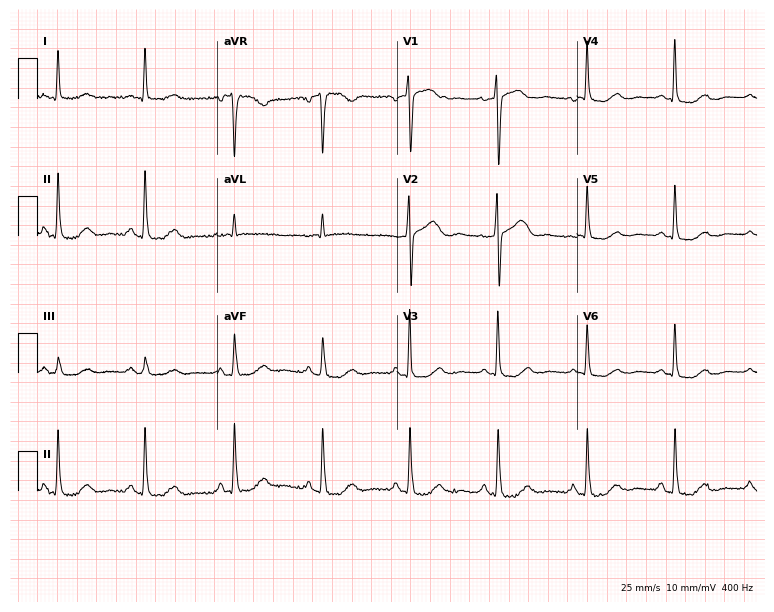
12-lead ECG (7.3-second recording at 400 Hz) from a 61-year-old male. Labelled as a normal ECG.